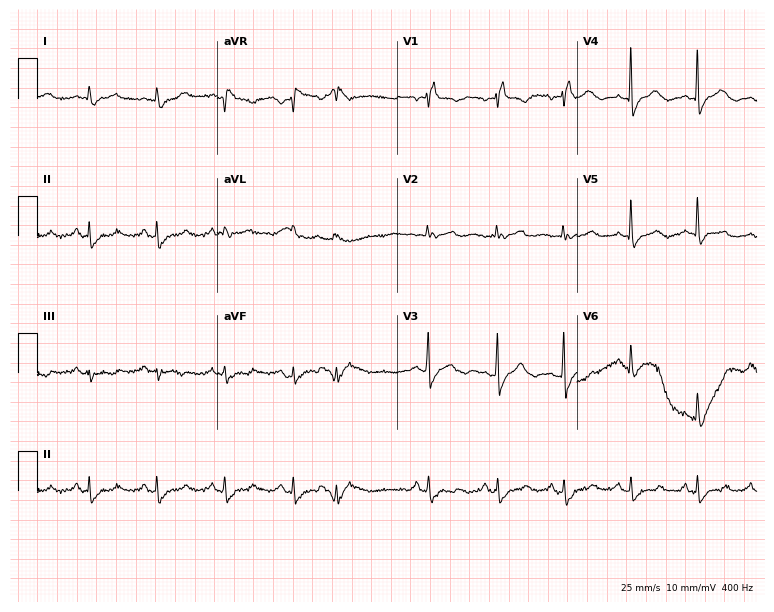
Standard 12-lead ECG recorded from a 63-year-old woman (7.3-second recording at 400 Hz). The tracing shows right bundle branch block (RBBB).